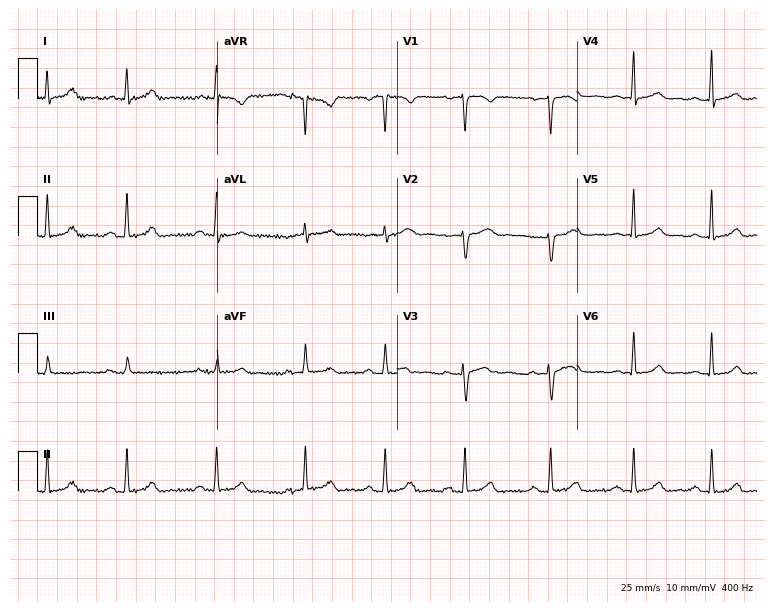
Resting 12-lead electrocardiogram (7.3-second recording at 400 Hz). Patient: a female, 26 years old. Read as a normal ECG.